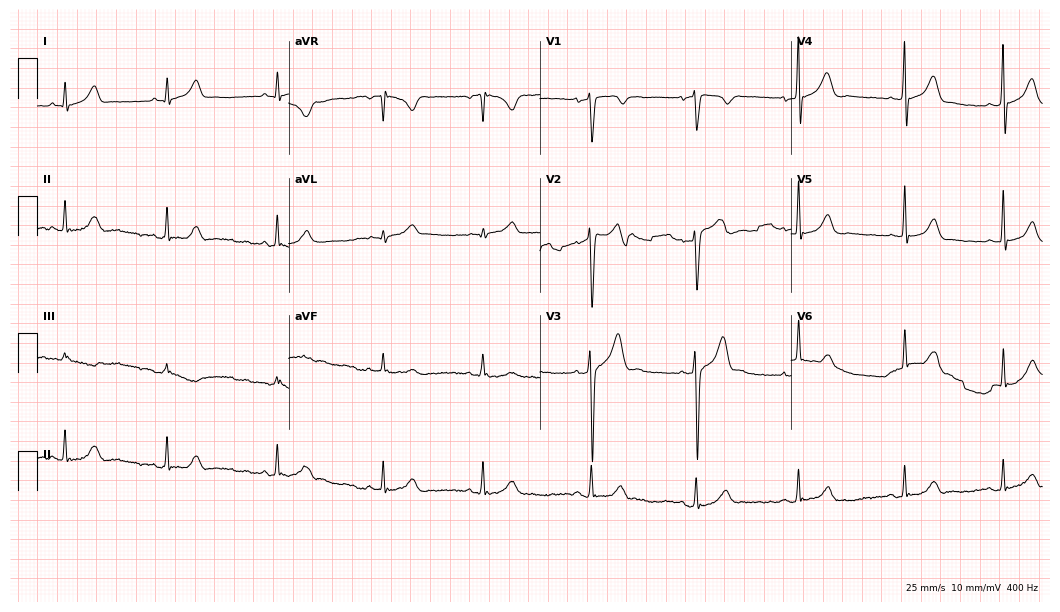
12-lead ECG from a man, 21 years old. Labelled as a normal ECG.